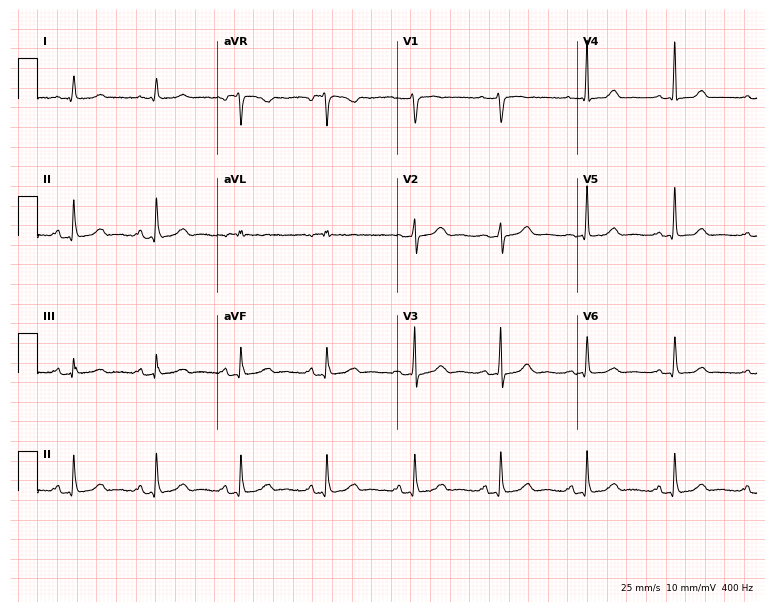
12-lead ECG (7.3-second recording at 400 Hz) from a 55-year-old female patient. Labelled as a normal ECG.